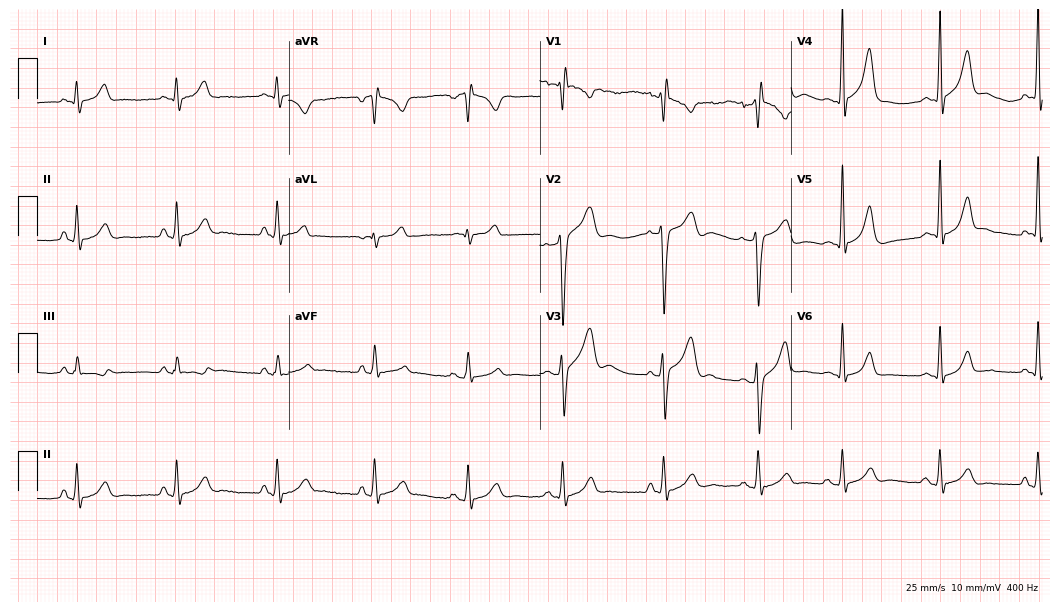
Standard 12-lead ECG recorded from a male patient, 20 years old (10.2-second recording at 400 Hz). None of these six findings is recorded: first-degree AV block, right bundle branch block (RBBB), left bundle branch block (LBBB), sinus bradycardia, atrial fibrillation (AF), sinus tachycardia.